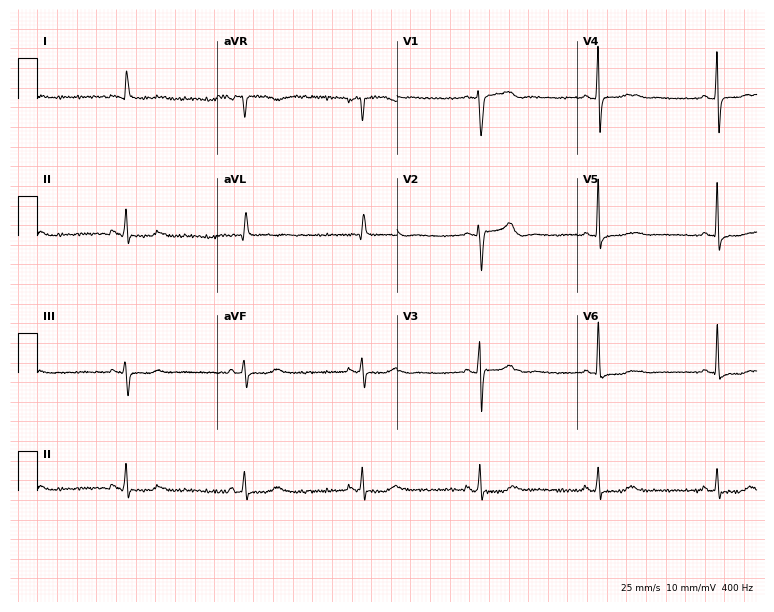
12-lead ECG (7.3-second recording at 400 Hz) from a 65-year-old female. Findings include sinus bradycardia (a sinus rate of 50 beats per minute or less).